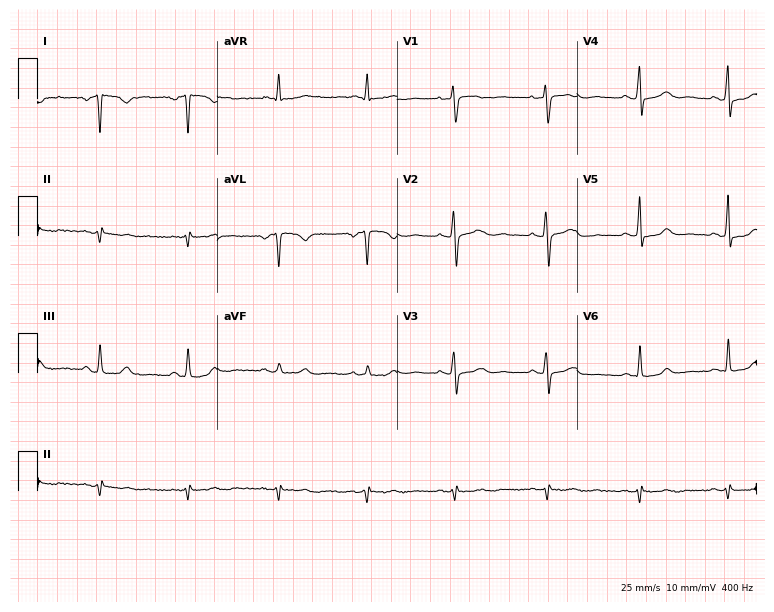
Standard 12-lead ECG recorded from a woman, 49 years old (7.3-second recording at 400 Hz). None of these six findings is recorded: first-degree AV block, right bundle branch block (RBBB), left bundle branch block (LBBB), sinus bradycardia, atrial fibrillation (AF), sinus tachycardia.